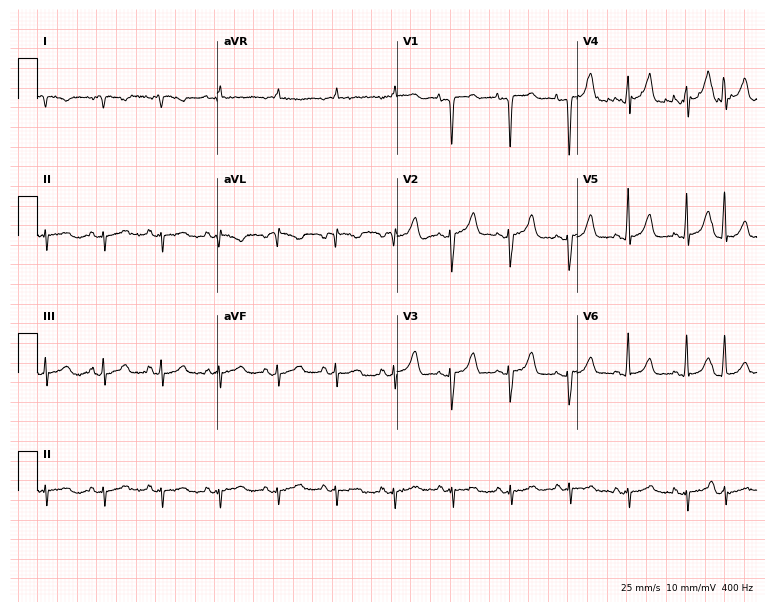
12-lead ECG from a 69-year-old female. No first-degree AV block, right bundle branch block, left bundle branch block, sinus bradycardia, atrial fibrillation or sinus tachycardia recorded for this tracing. Findings outside these six are not listed.